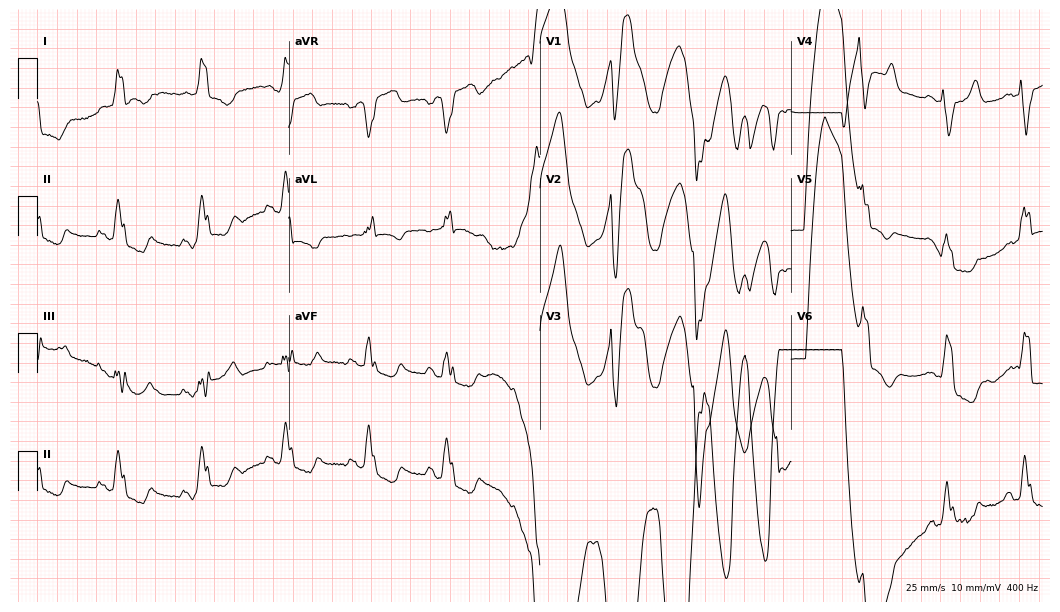
12-lead ECG (10.2-second recording at 400 Hz) from a male, 75 years old. Findings include left bundle branch block.